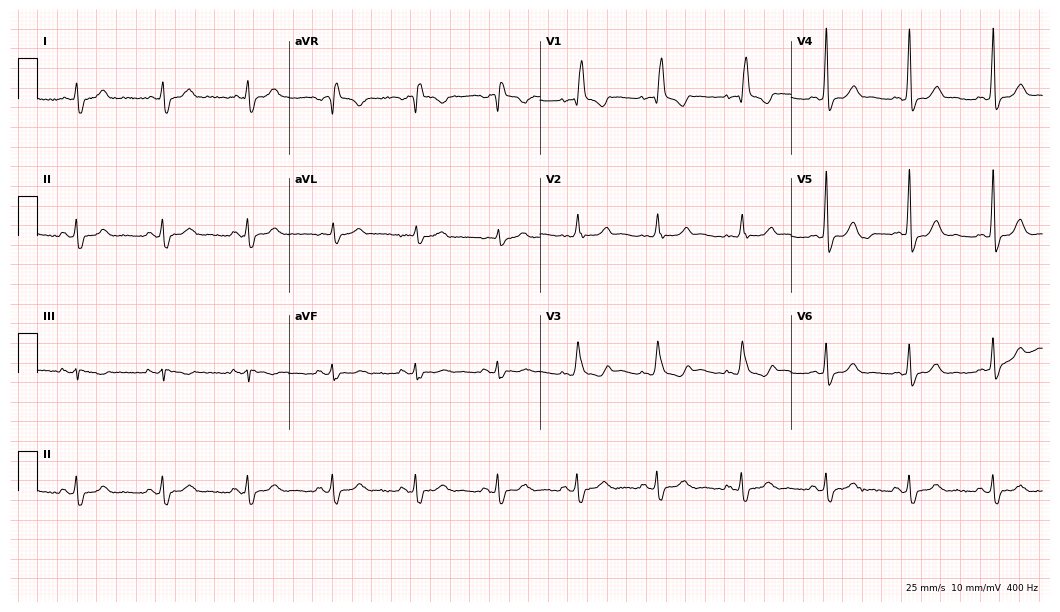
12-lead ECG from a 67-year-old woman. Findings include right bundle branch block.